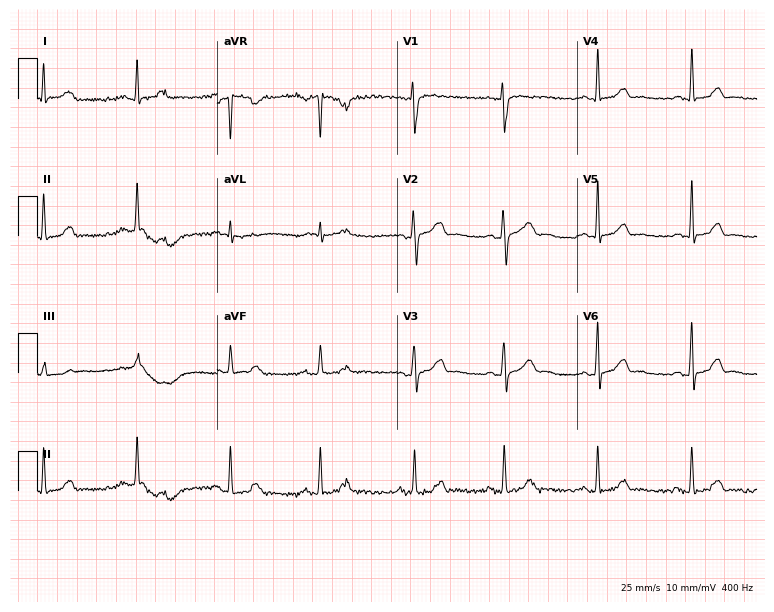
Electrocardiogram (7.3-second recording at 400 Hz), a woman, 36 years old. Of the six screened findings (first-degree AV block, right bundle branch block (RBBB), left bundle branch block (LBBB), sinus bradycardia, atrial fibrillation (AF), sinus tachycardia), none is recorded. Only these six findings were labelled.